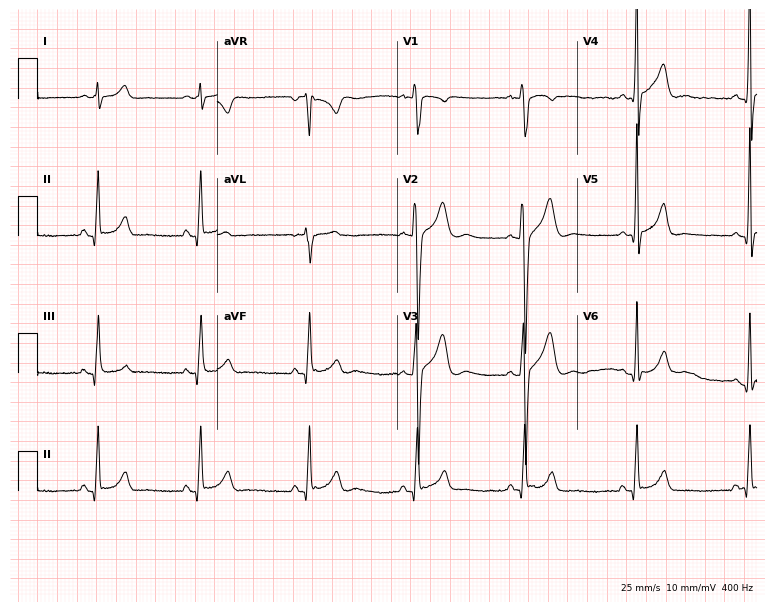
Standard 12-lead ECG recorded from a 20-year-old man. Read as a normal ECG.